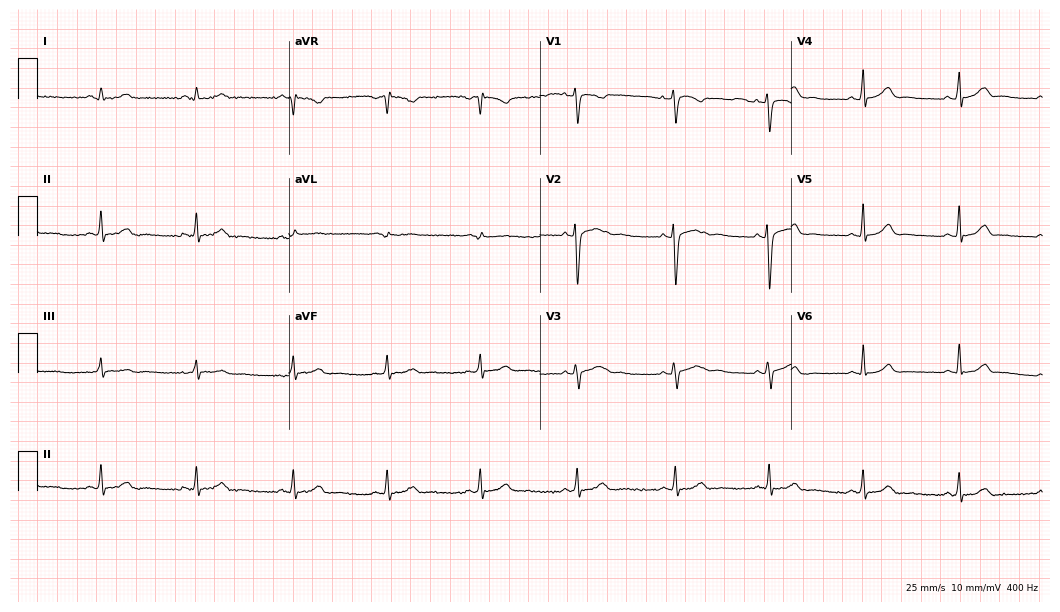
12-lead ECG (10.2-second recording at 400 Hz) from a female, 33 years old. Labelled as a normal ECG.